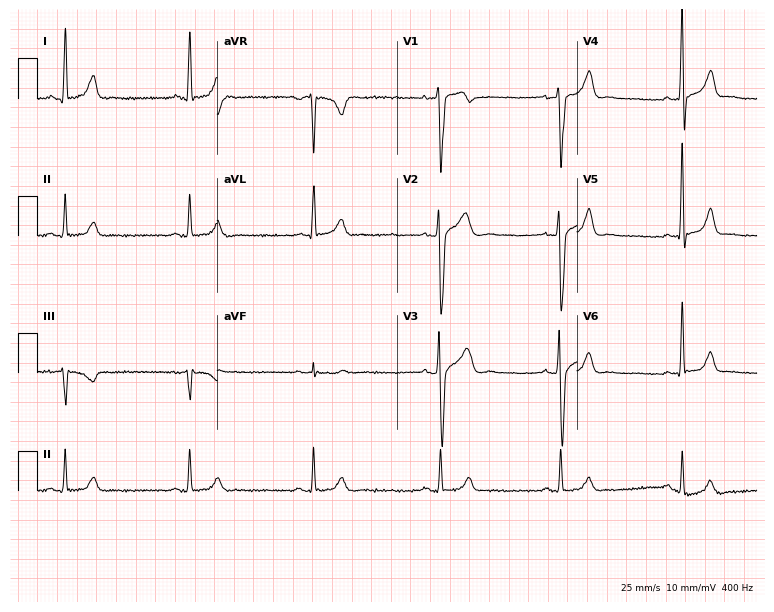
Electrocardiogram (7.3-second recording at 400 Hz), a male, 44 years old. Interpretation includes sinus bradycardia (a sinus rate of 50 beats per minute or less).